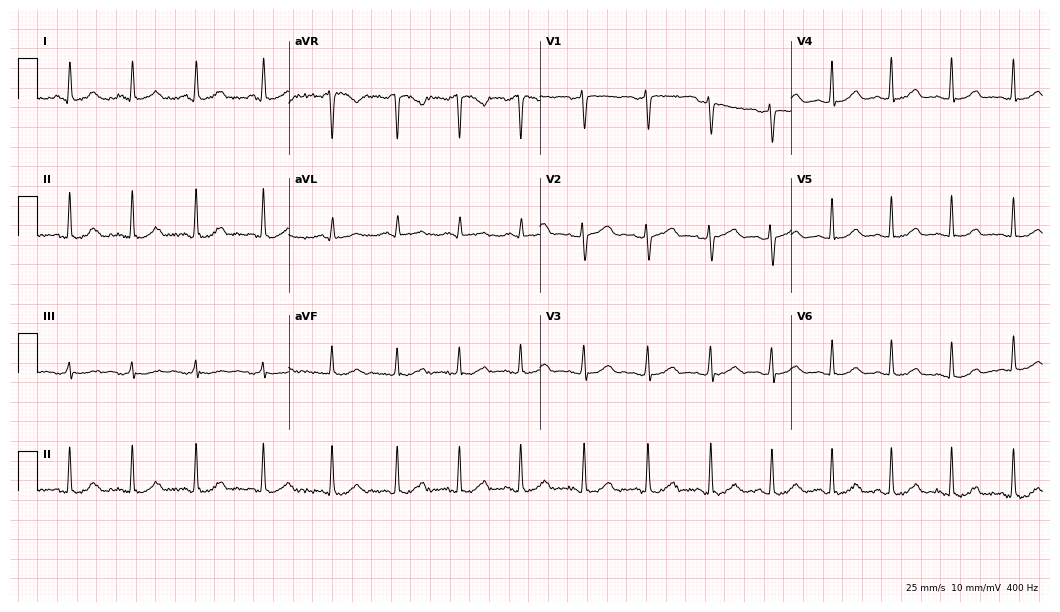
Electrocardiogram (10.2-second recording at 400 Hz), a 46-year-old female. Overall reading on record: normal ECG.